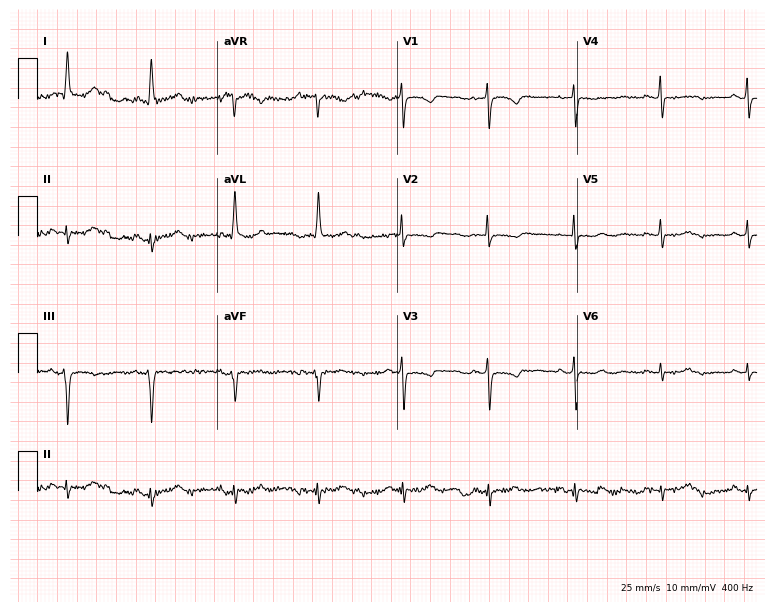
12-lead ECG from a woman, 79 years old. No first-degree AV block, right bundle branch block, left bundle branch block, sinus bradycardia, atrial fibrillation or sinus tachycardia recorded for this tracing.